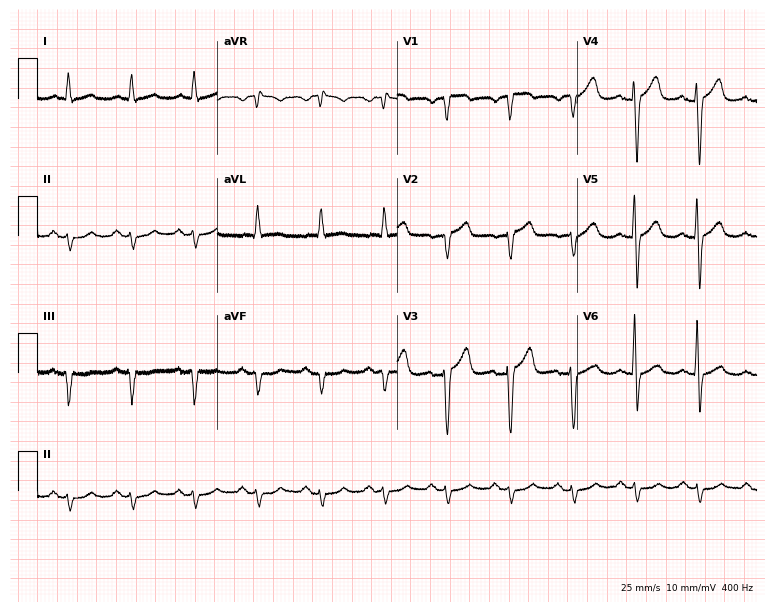
ECG — a 65-year-old male. Screened for six findings — first-degree AV block, right bundle branch block (RBBB), left bundle branch block (LBBB), sinus bradycardia, atrial fibrillation (AF), sinus tachycardia — none is recorded. Other findings, if any, are not listed.